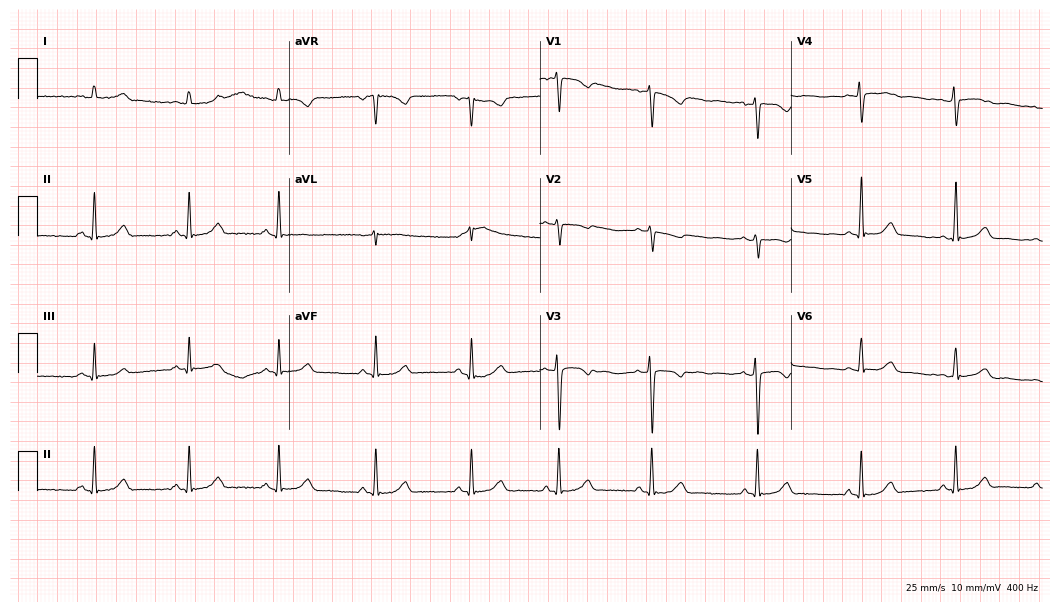
Standard 12-lead ECG recorded from a 23-year-old female patient (10.2-second recording at 400 Hz). None of these six findings is recorded: first-degree AV block, right bundle branch block (RBBB), left bundle branch block (LBBB), sinus bradycardia, atrial fibrillation (AF), sinus tachycardia. Only these six findings were labelled.